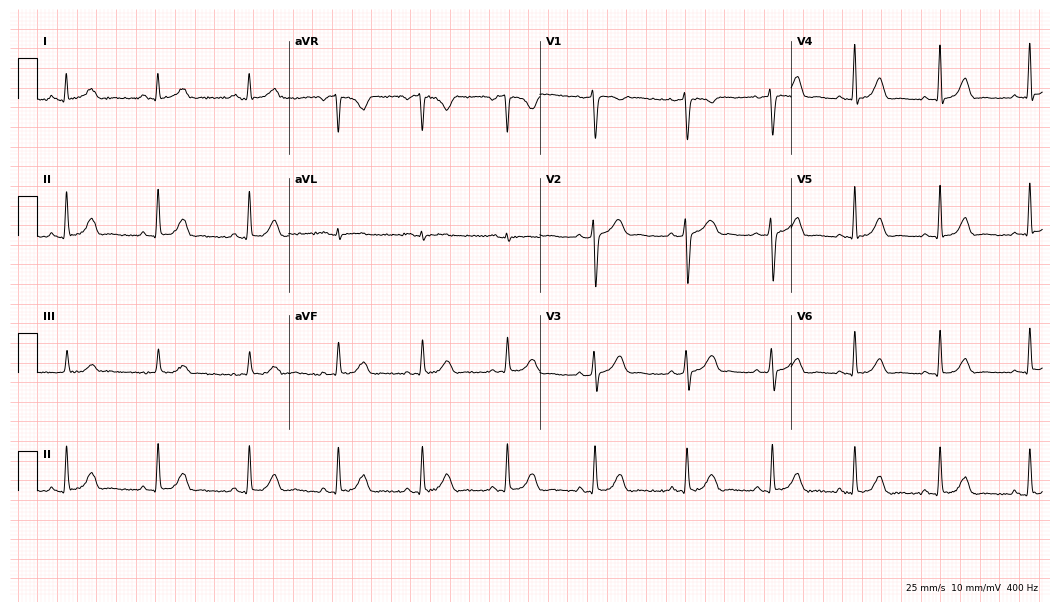
Standard 12-lead ECG recorded from a 31-year-old female (10.2-second recording at 400 Hz). Read as a normal ECG.